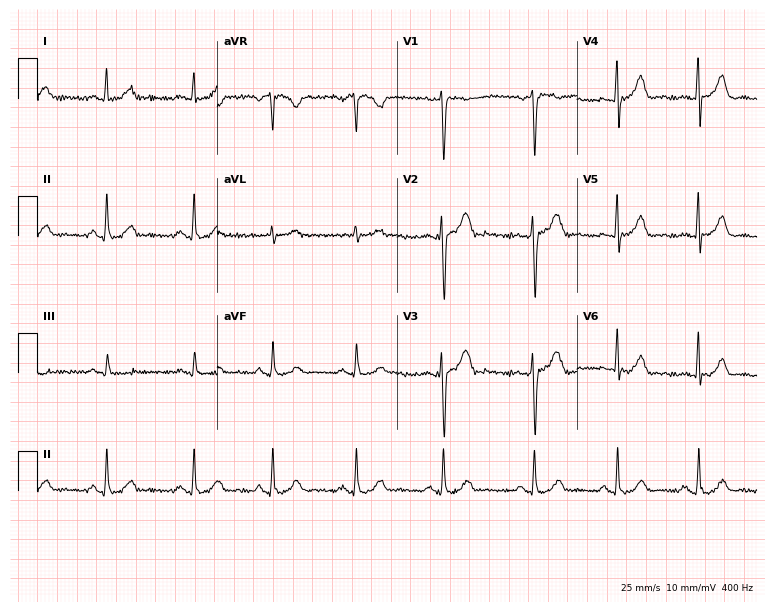
12-lead ECG from a female patient, 40 years old. Screened for six findings — first-degree AV block, right bundle branch block, left bundle branch block, sinus bradycardia, atrial fibrillation, sinus tachycardia — none is recorded. Other findings, if any, are not listed.